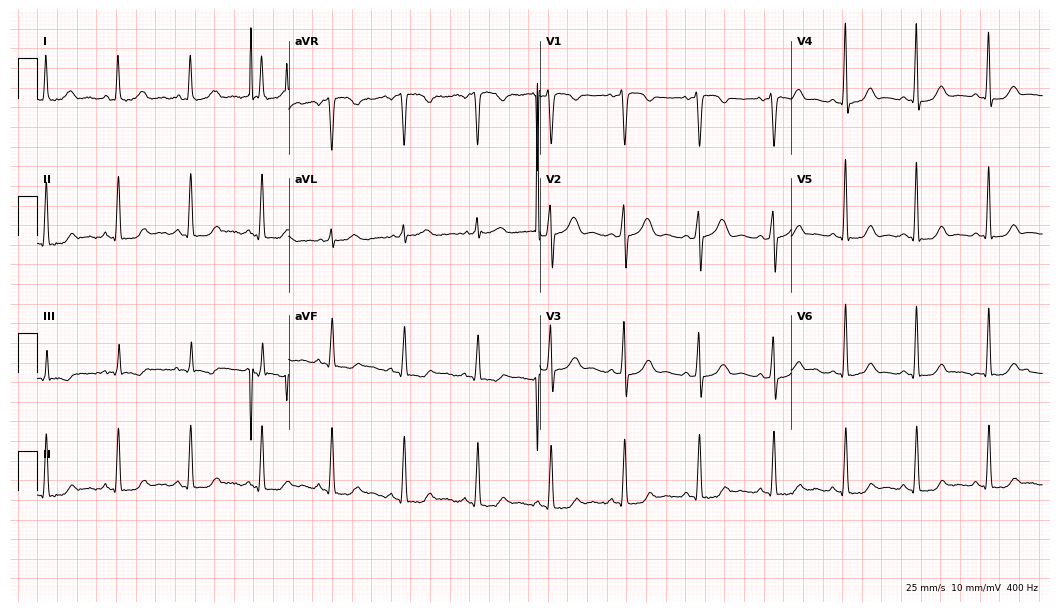
Standard 12-lead ECG recorded from a woman, 43 years old (10.2-second recording at 400 Hz). Read as a normal ECG.